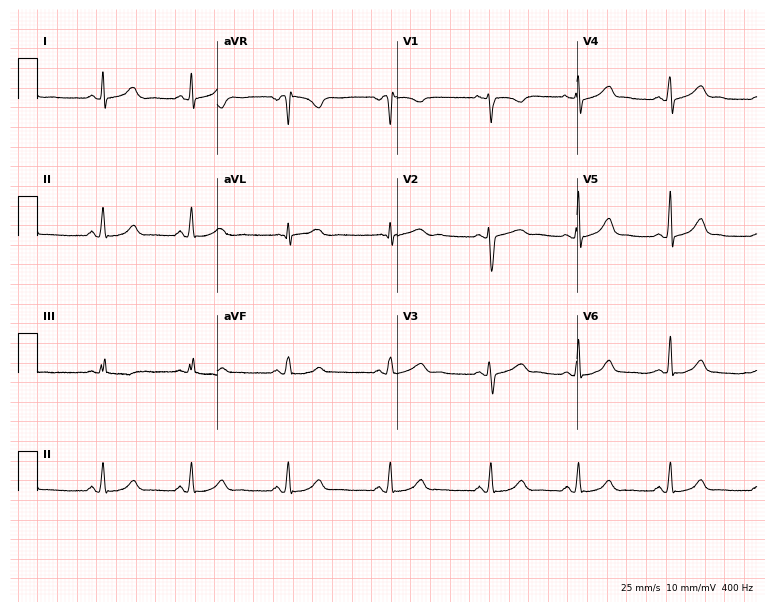
Resting 12-lead electrocardiogram. Patient: a 21-year-old woman. None of these six findings is recorded: first-degree AV block, right bundle branch block, left bundle branch block, sinus bradycardia, atrial fibrillation, sinus tachycardia. Only these six findings were labelled.